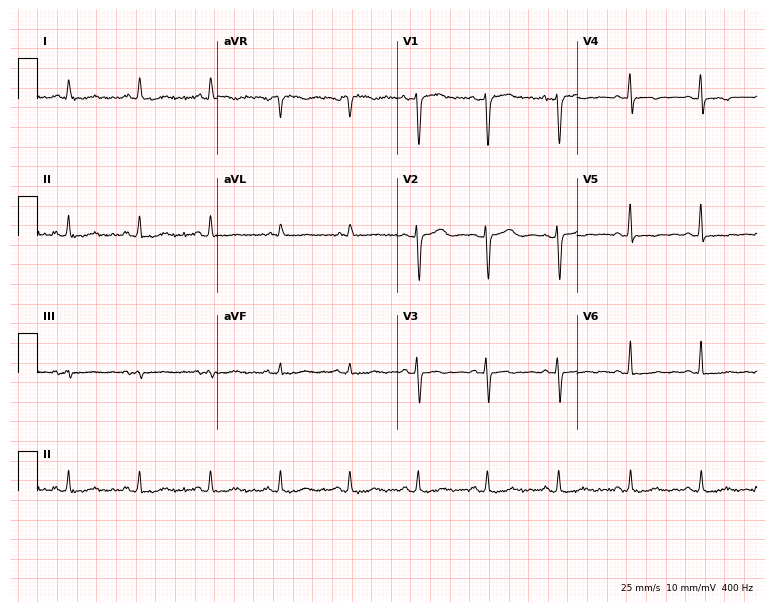
ECG — a 50-year-old female. Screened for six findings — first-degree AV block, right bundle branch block, left bundle branch block, sinus bradycardia, atrial fibrillation, sinus tachycardia — none is recorded.